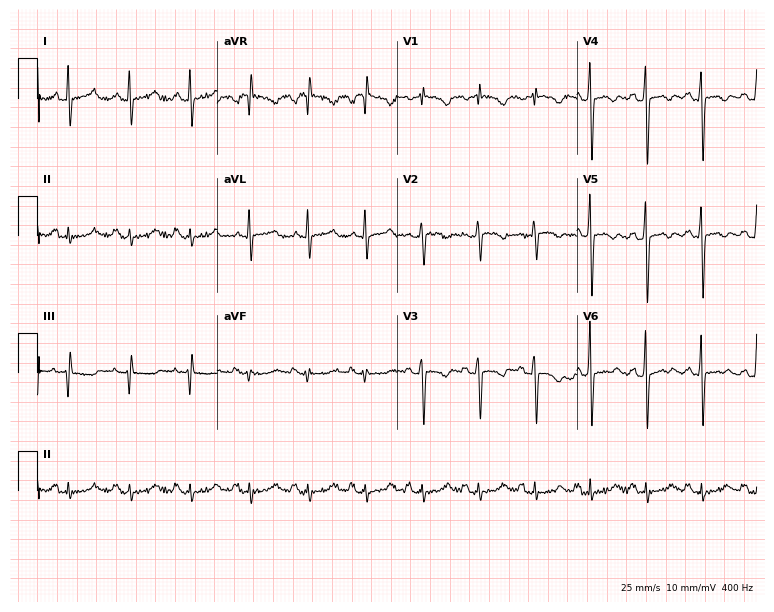
ECG — a female patient, 54 years old. Screened for six findings — first-degree AV block, right bundle branch block (RBBB), left bundle branch block (LBBB), sinus bradycardia, atrial fibrillation (AF), sinus tachycardia — none is recorded.